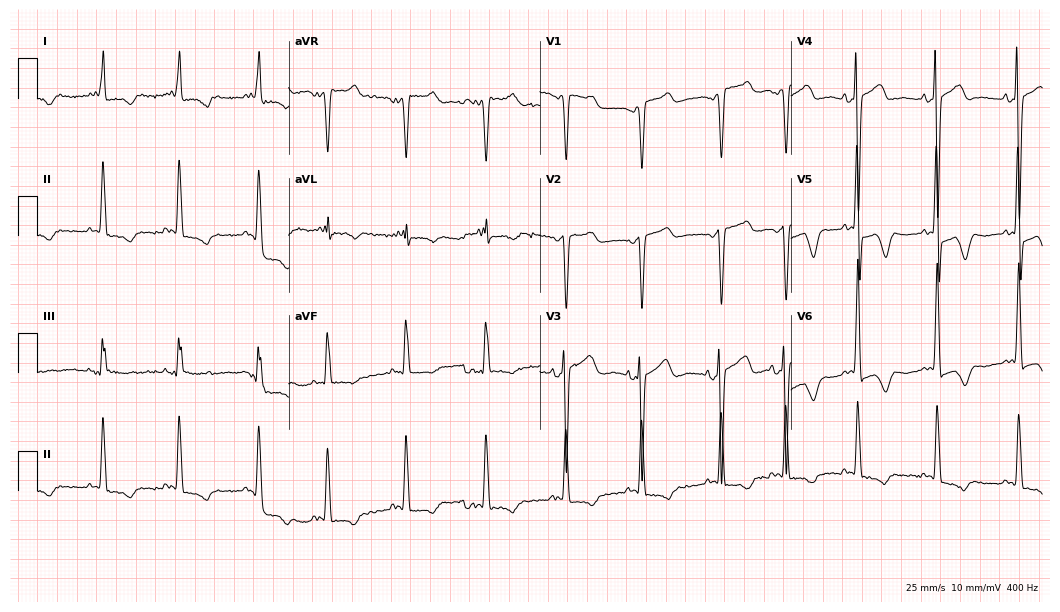
Resting 12-lead electrocardiogram (10.2-second recording at 400 Hz). Patient: a 77-year-old female. None of these six findings is recorded: first-degree AV block, right bundle branch block, left bundle branch block, sinus bradycardia, atrial fibrillation, sinus tachycardia. Other findings, if any, are not listed.